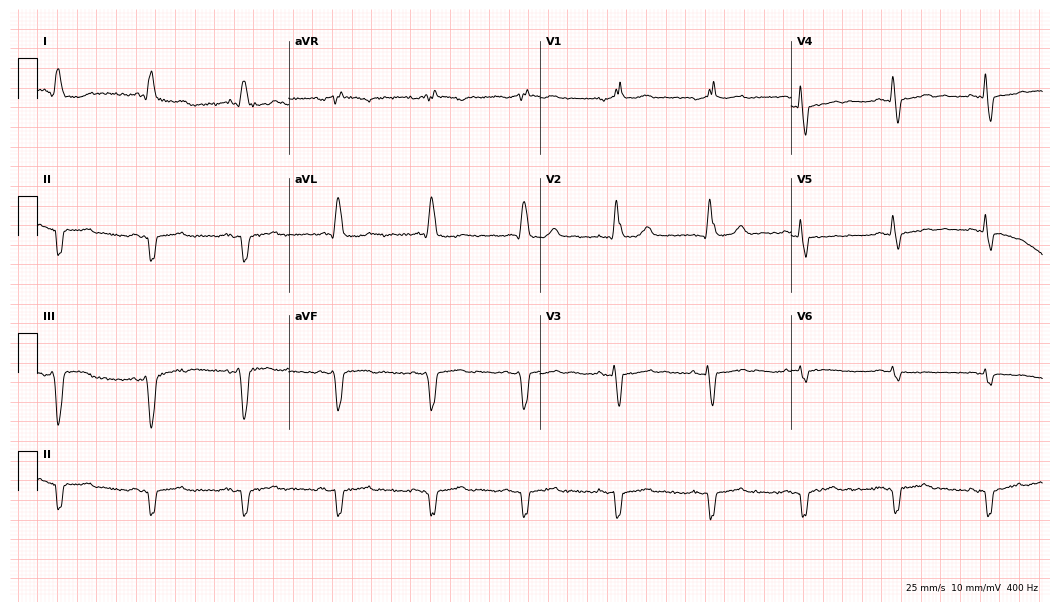
12-lead ECG from a 66-year-old man. Screened for six findings — first-degree AV block, right bundle branch block, left bundle branch block, sinus bradycardia, atrial fibrillation, sinus tachycardia — none is recorded.